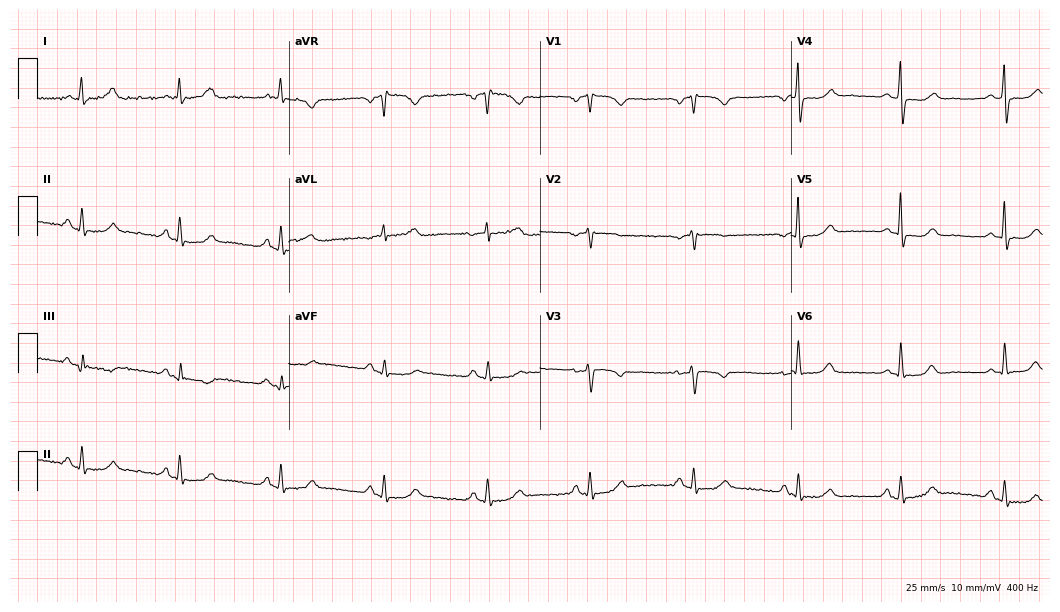
12-lead ECG from a female patient, 55 years old. Labelled as a normal ECG.